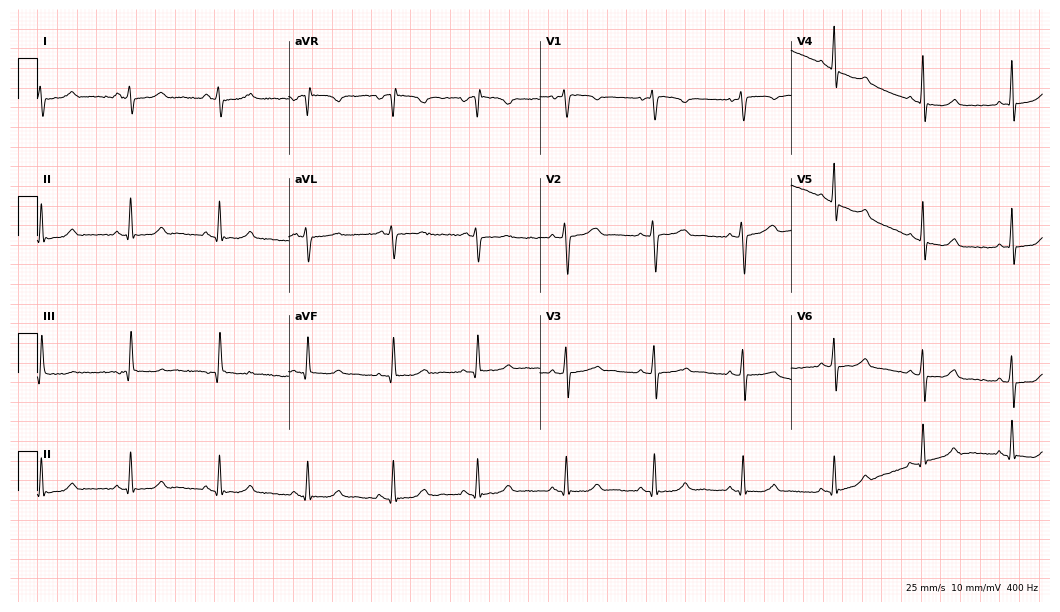
Electrocardiogram (10.2-second recording at 400 Hz), a woman, 29 years old. Of the six screened findings (first-degree AV block, right bundle branch block, left bundle branch block, sinus bradycardia, atrial fibrillation, sinus tachycardia), none is recorded.